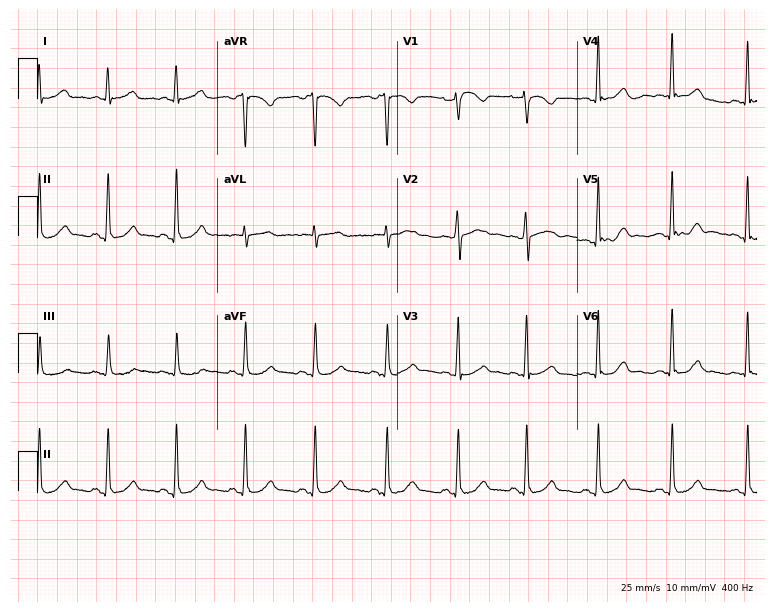
Standard 12-lead ECG recorded from a 39-year-old female patient (7.3-second recording at 400 Hz). Read as a normal ECG.